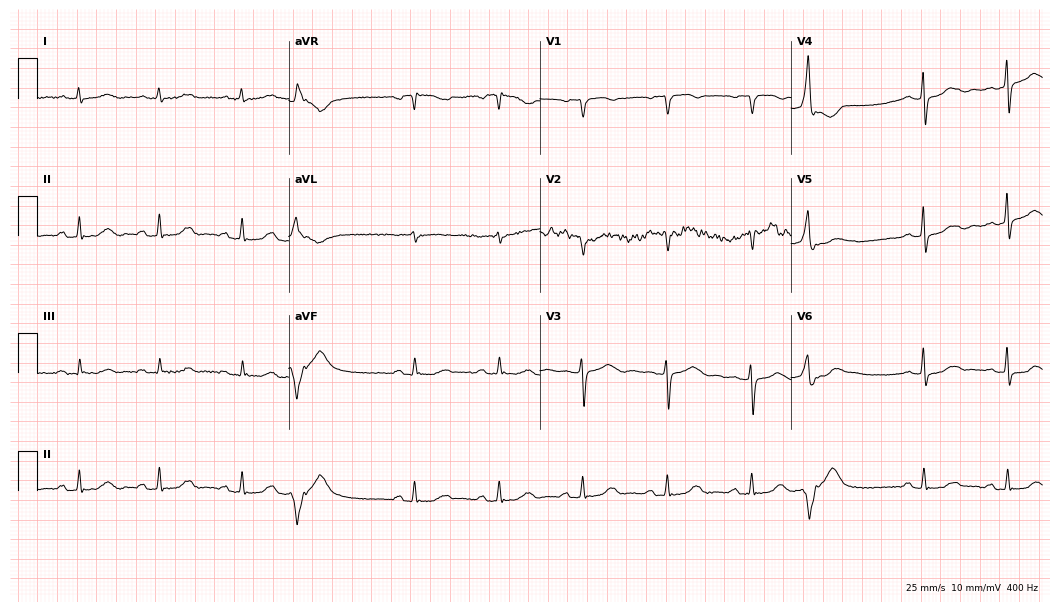
Resting 12-lead electrocardiogram. Patient: a 58-year-old female. None of these six findings is recorded: first-degree AV block, right bundle branch block, left bundle branch block, sinus bradycardia, atrial fibrillation, sinus tachycardia.